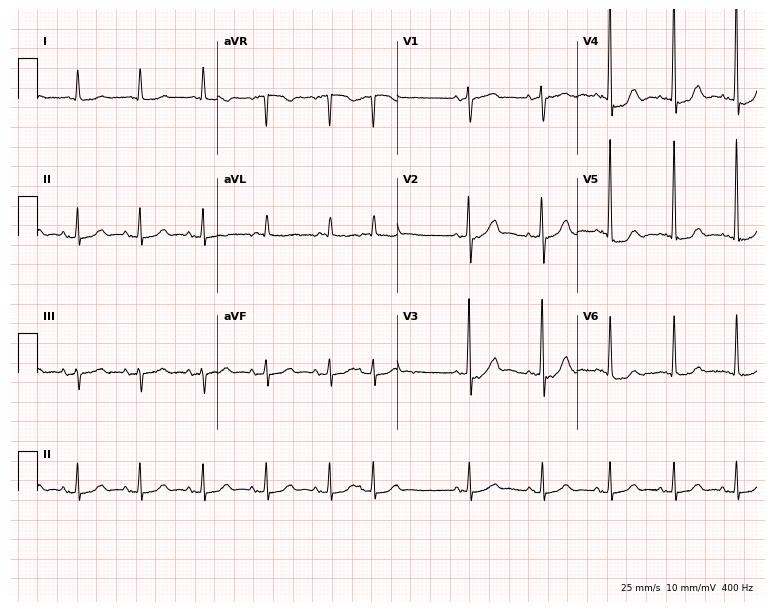
12-lead ECG from a female, 84 years old (7.3-second recording at 400 Hz). Recorded interpretation: within normal limits.